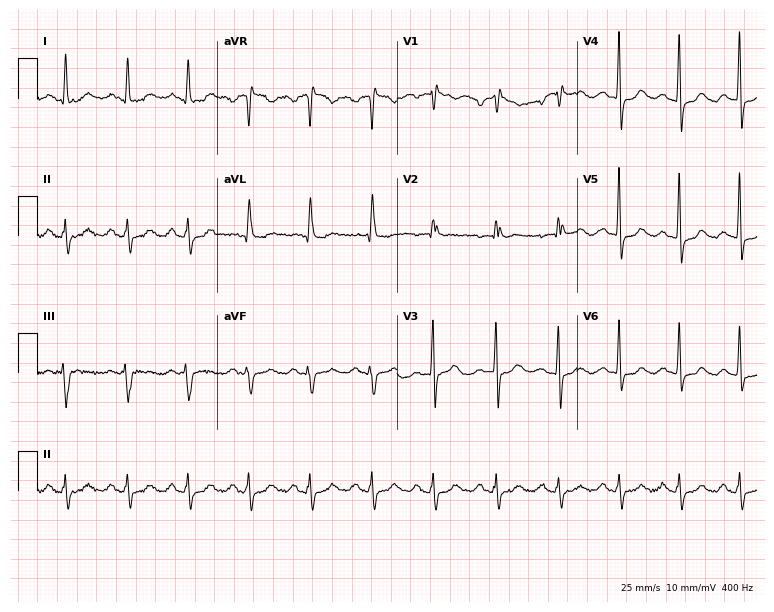
12-lead ECG from a female, 69 years old (7.3-second recording at 400 Hz). No first-degree AV block, right bundle branch block, left bundle branch block, sinus bradycardia, atrial fibrillation or sinus tachycardia recorded for this tracing.